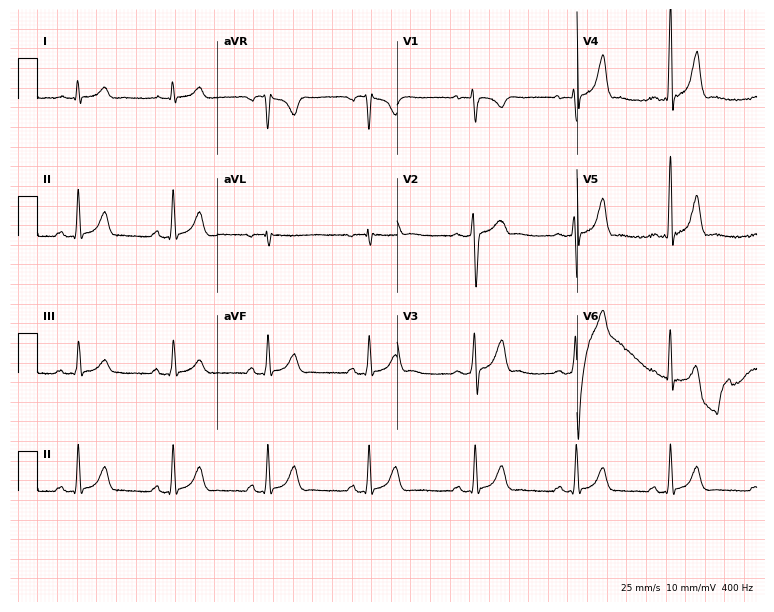
Resting 12-lead electrocardiogram. Patient: a male, 26 years old. None of these six findings is recorded: first-degree AV block, right bundle branch block, left bundle branch block, sinus bradycardia, atrial fibrillation, sinus tachycardia.